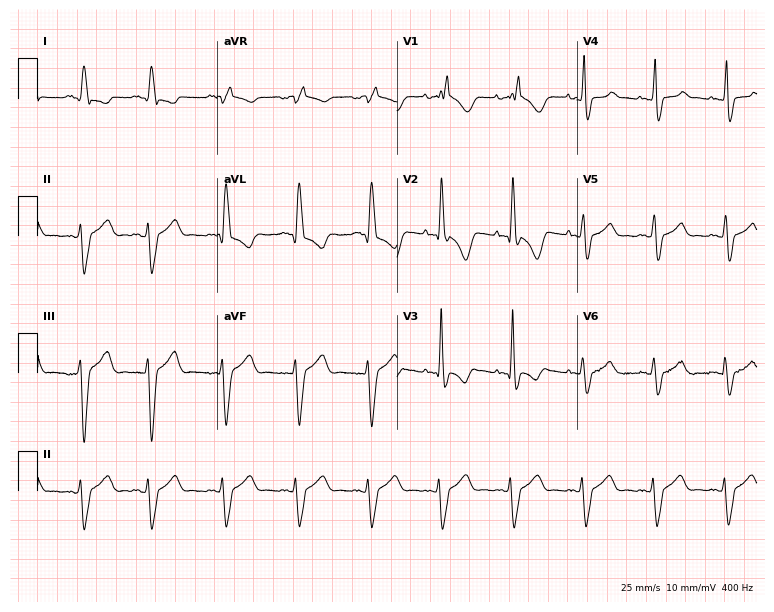
Standard 12-lead ECG recorded from a 40-year-old male. The tracing shows right bundle branch block (RBBB).